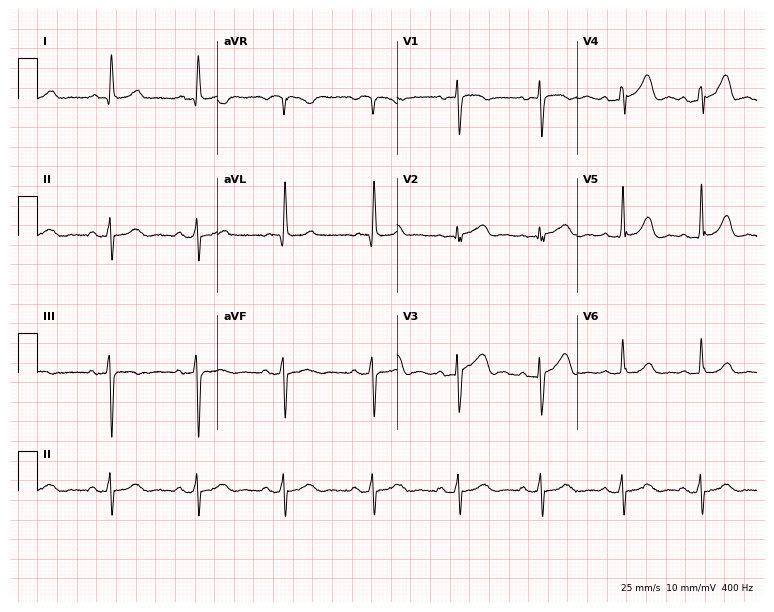
Standard 12-lead ECG recorded from a female, 78 years old. None of these six findings is recorded: first-degree AV block, right bundle branch block, left bundle branch block, sinus bradycardia, atrial fibrillation, sinus tachycardia.